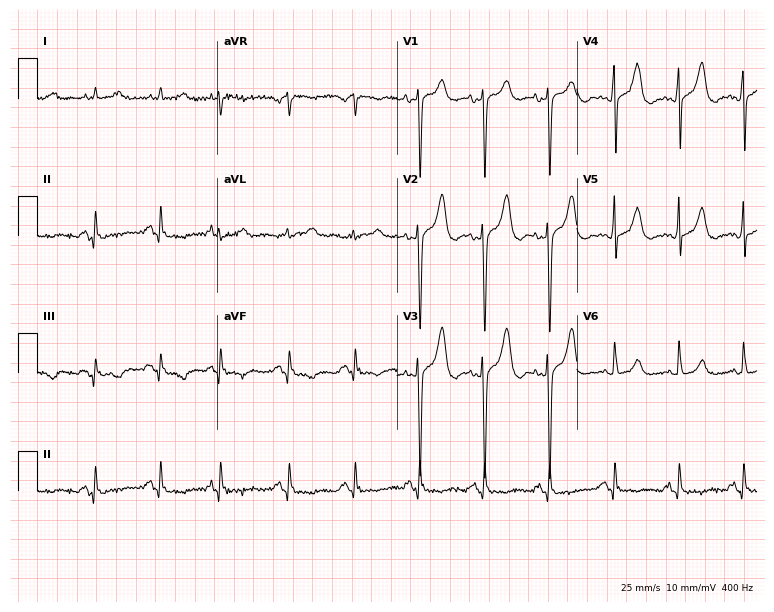
ECG (7.3-second recording at 400 Hz) — a 77-year-old female. Screened for six findings — first-degree AV block, right bundle branch block (RBBB), left bundle branch block (LBBB), sinus bradycardia, atrial fibrillation (AF), sinus tachycardia — none is recorded. Only these six findings were labelled.